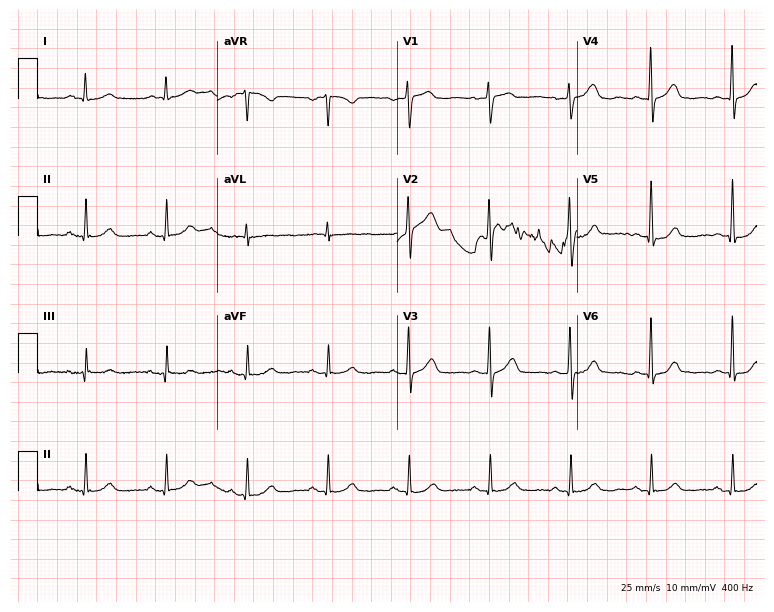
ECG (7.3-second recording at 400 Hz) — a woman, 61 years old. Labelled as a normal ECG.